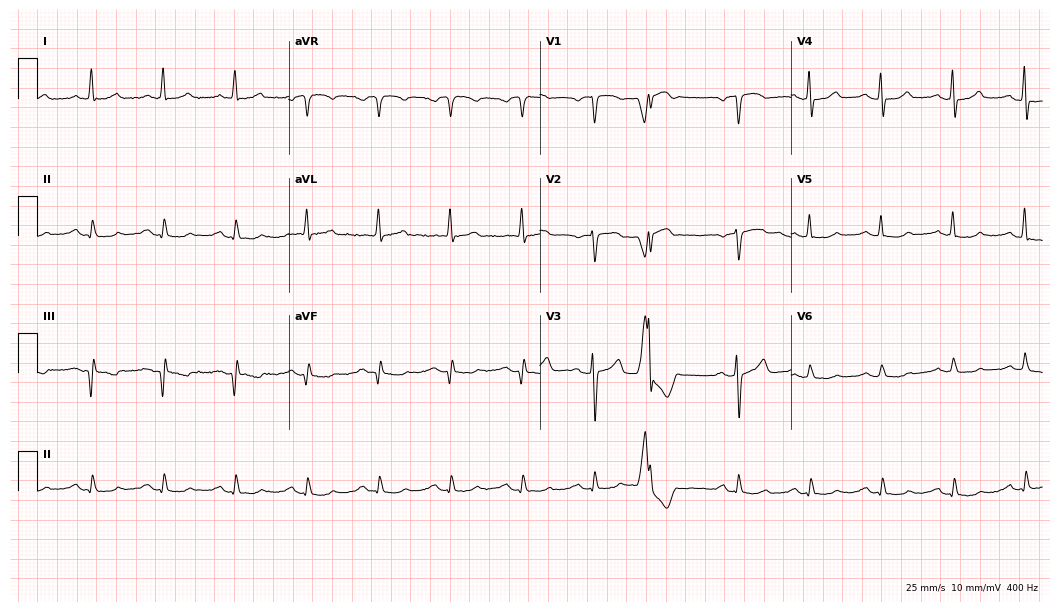
12-lead ECG from a male patient, 75 years old. No first-degree AV block, right bundle branch block (RBBB), left bundle branch block (LBBB), sinus bradycardia, atrial fibrillation (AF) or sinus tachycardia recorded for this tracing. Only these six findings were labelled.